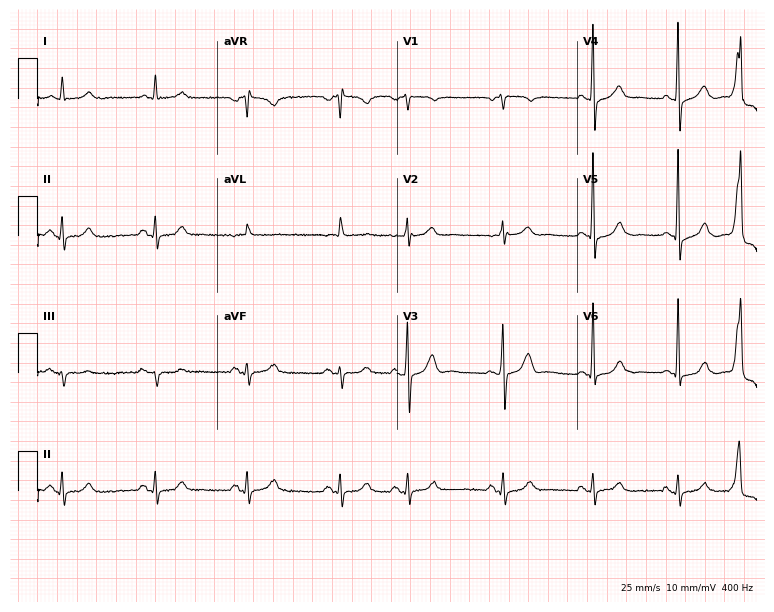
Standard 12-lead ECG recorded from a male patient, 75 years old (7.3-second recording at 400 Hz). None of these six findings is recorded: first-degree AV block, right bundle branch block (RBBB), left bundle branch block (LBBB), sinus bradycardia, atrial fibrillation (AF), sinus tachycardia. Only these six findings were labelled.